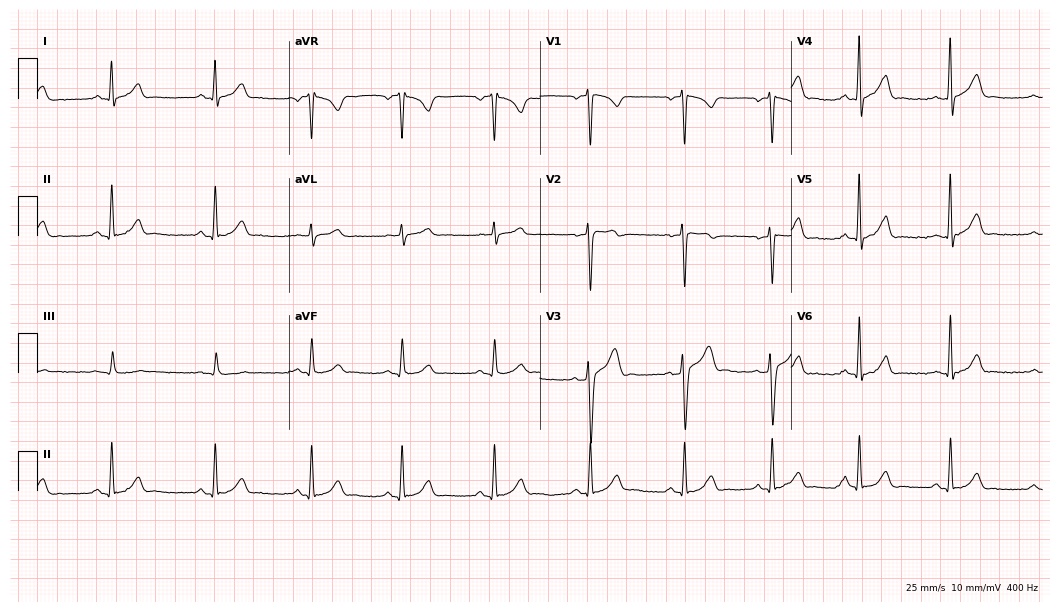
Electrocardiogram (10.2-second recording at 400 Hz), a male patient, 29 years old. Of the six screened findings (first-degree AV block, right bundle branch block, left bundle branch block, sinus bradycardia, atrial fibrillation, sinus tachycardia), none is recorded. Only these six findings were labelled.